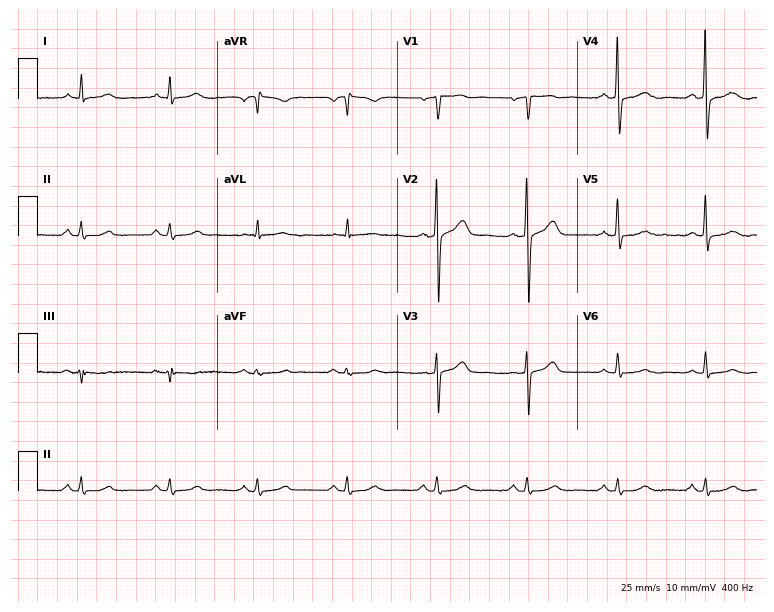
ECG — a male patient, 58 years old. Labelled as a normal ECG.